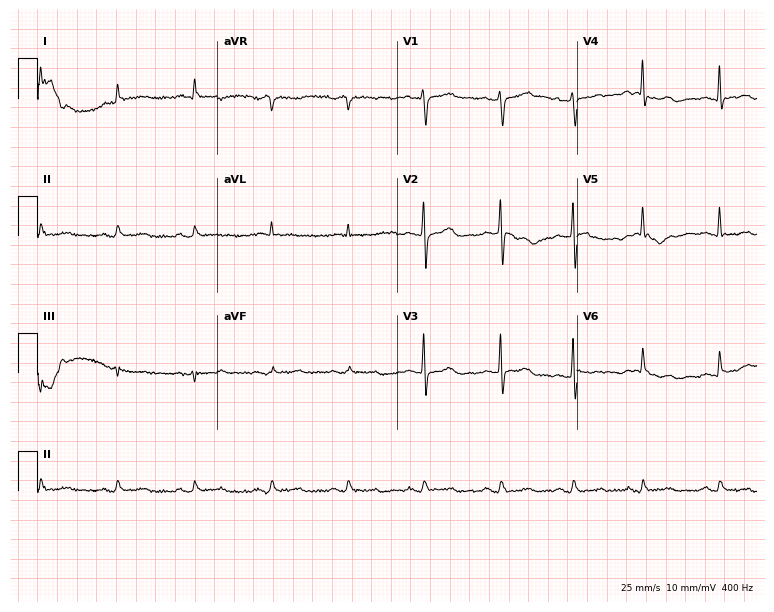
Standard 12-lead ECG recorded from a male patient, 54 years old (7.3-second recording at 400 Hz). None of these six findings is recorded: first-degree AV block, right bundle branch block, left bundle branch block, sinus bradycardia, atrial fibrillation, sinus tachycardia.